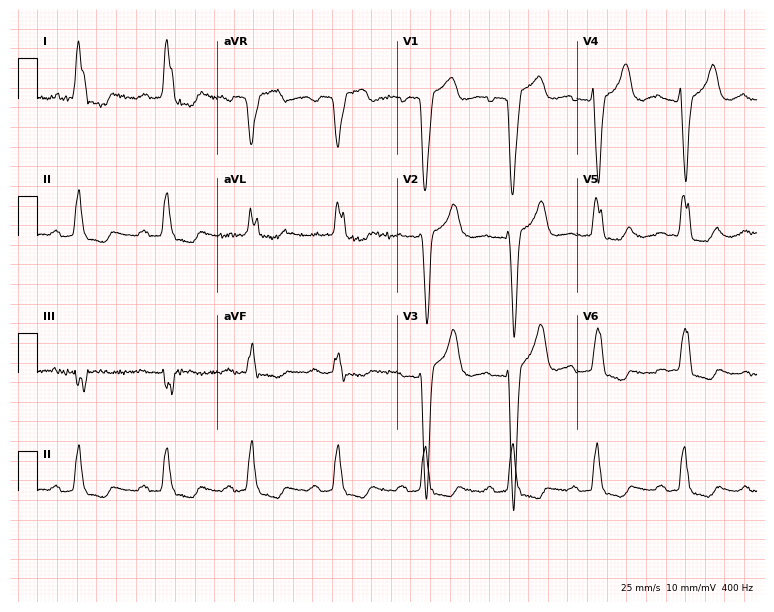
12-lead ECG from a female patient, 77 years old. Findings include left bundle branch block.